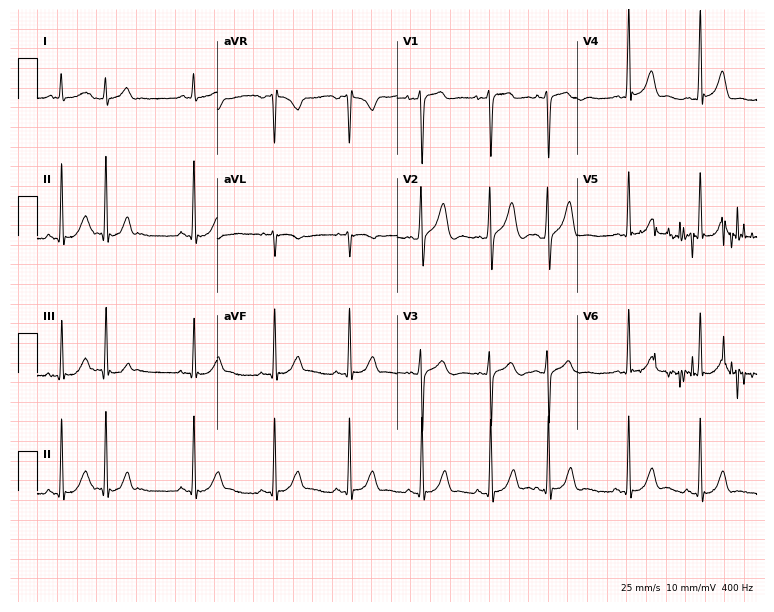
Resting 12-lead electrocardiogram. Patient: a 25-year-old male. None of these six findings is recorded: first-degree AV block, right bundle branch block, left bundle branch block, sinus bradycardia, atrial fibrillation, sinus tachycardia.